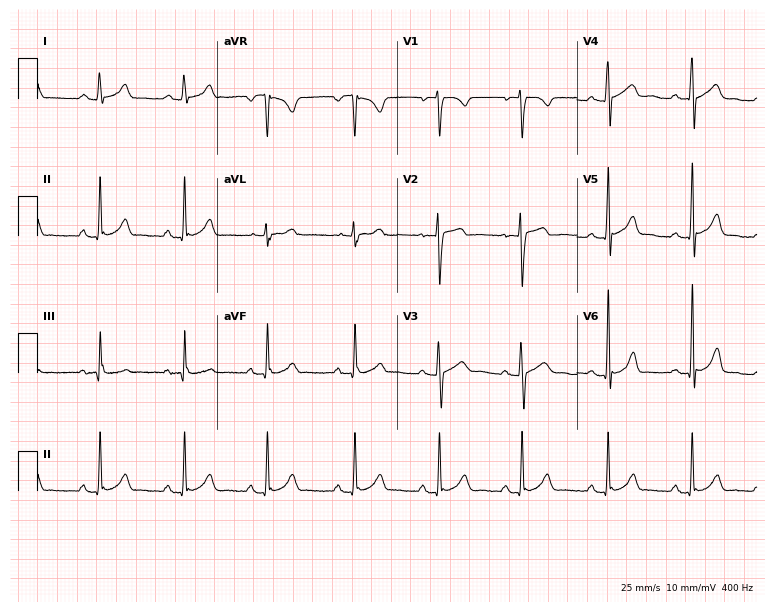
12-lead ECG from a female patient, 29 years old. Recorded interpretation: within normal limits.